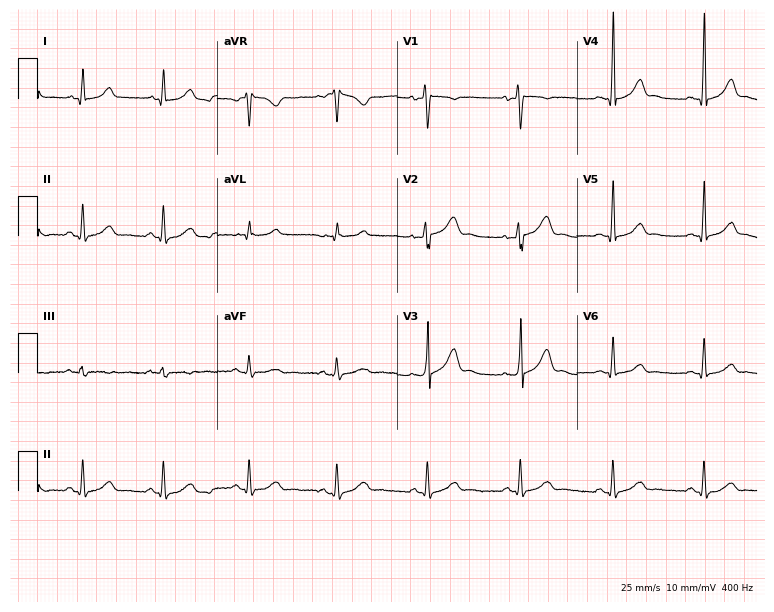
Electrocardiogram, a male, 45 years old. Overall reading on record: normal ECG.